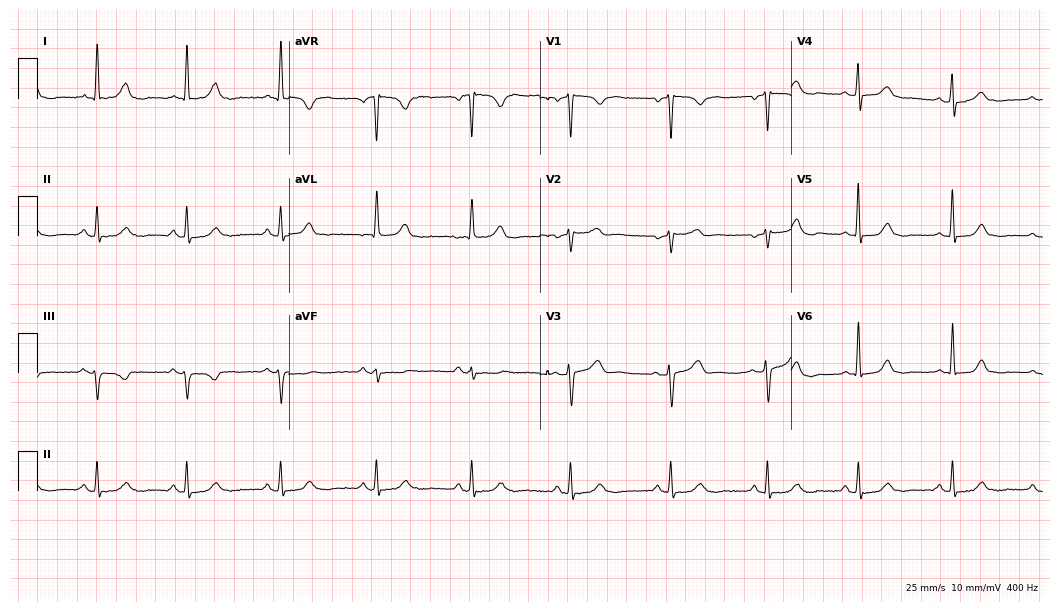
12-lead ECG (10.2-second recording at 400 Hz) from a woman, 61 years old. Screened for six findings — first-degree AV block, right bundle branch block, left bundle branch block, sinus bradycardia, atrial fibrillation, sinus tachycardia — none is recorded.